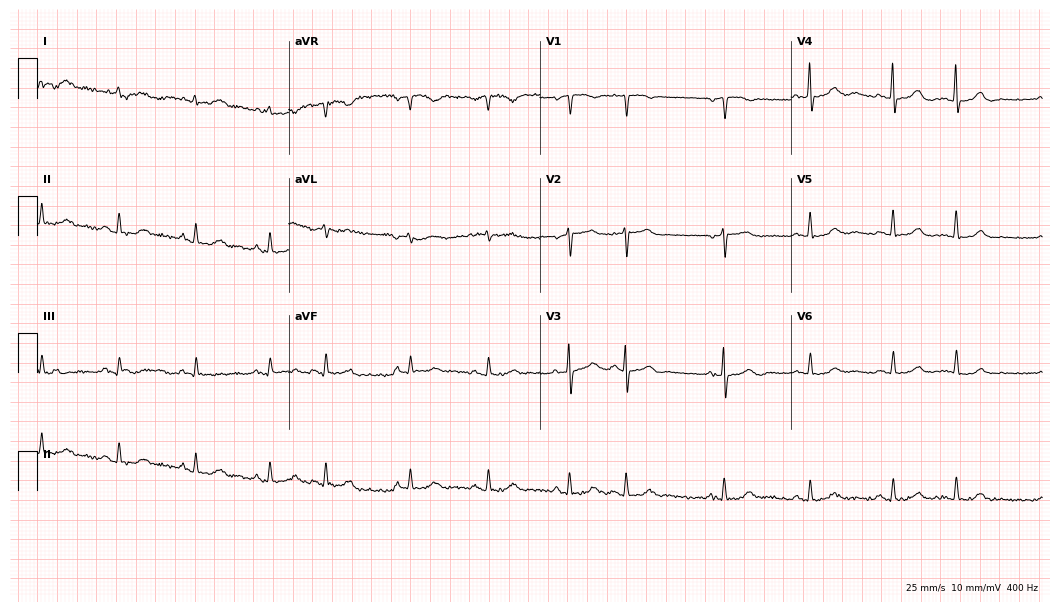
12-lead ECG from a 79-year-old female patient. No first-degree AV block, right bundle branch block, left bundle branch block, sinus bradycardia, atrial fibrillation or sinus tachycardia recorded for this tracing.